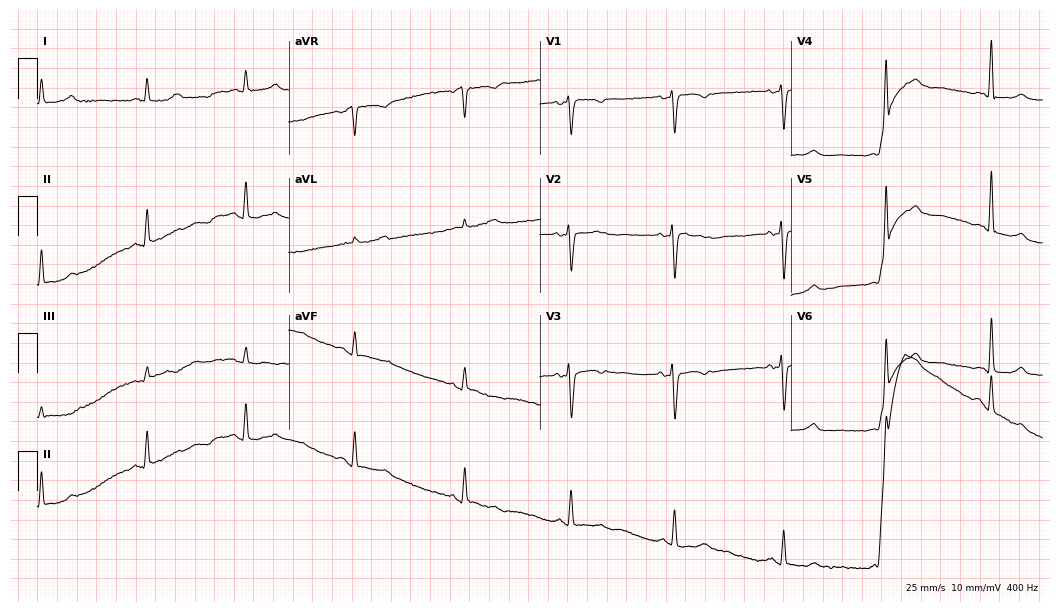
ECG — a 46-year-old female. Labelled as a normal ECG.